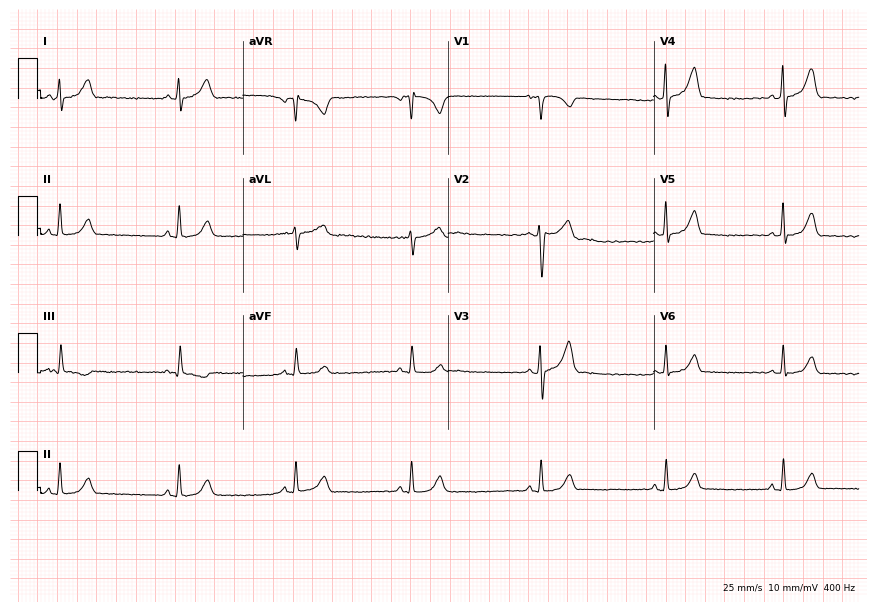
12-lead ECG (8.4-second recording at 400 Hz) from a 24-year-old male. Findings include sinus bradycardia (a sinus rate of 50 beats per minute or less).